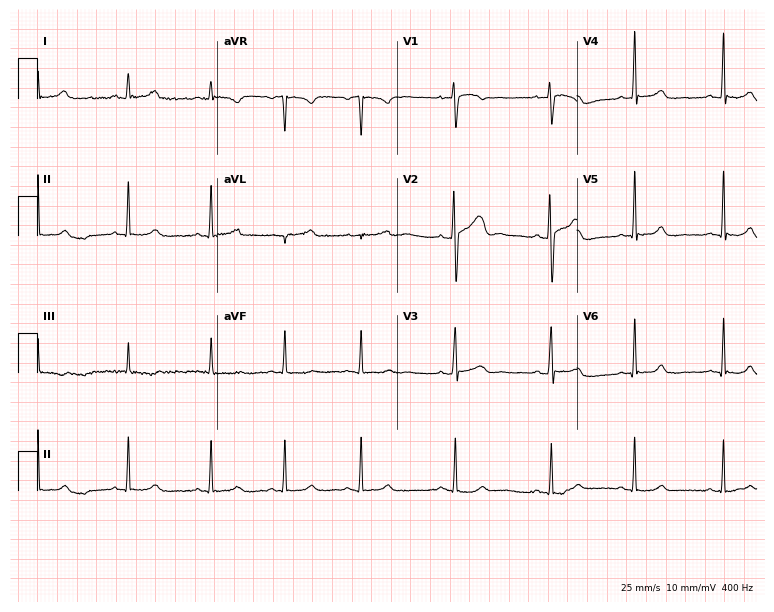
Resting 12-lead electrocardiogram (7.3-second recording at 400 Hz). Patient: a female, 30 years old. None of these six findings is recorded: first-degree AV block, right bundle branch block (RBBB), left bundle branch block (LBBB), sinus bradycardia, atrial fibrillation (AF), sinus tachycardia. Only these six findings were labelled.